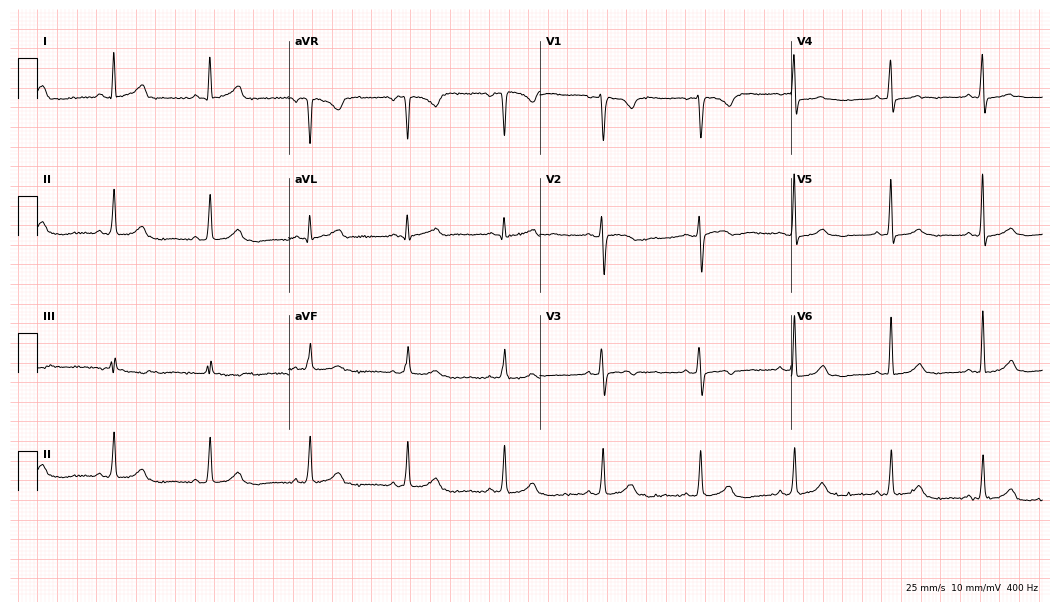
ECG (10.2-second recording at 400 Hz) — a female patient, 38 years old. Labelled as a normal ECG.